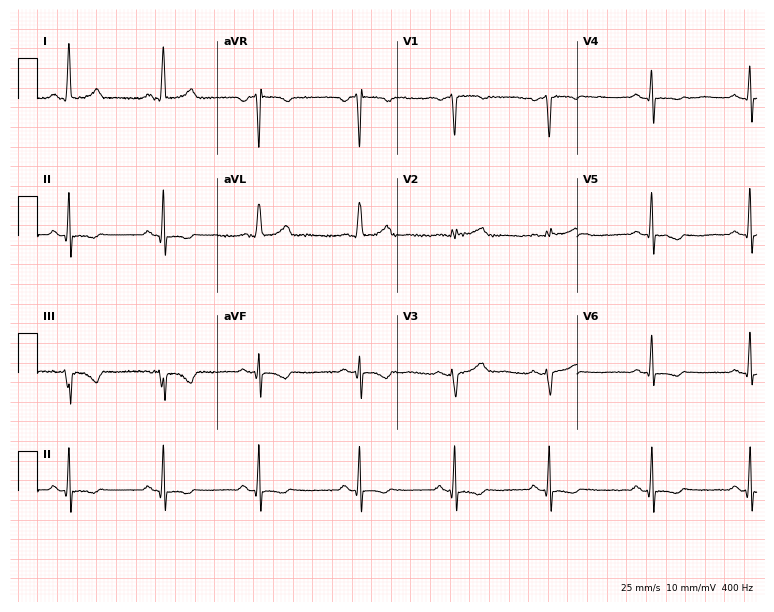
Electrocardiogram (7.3-second recording at 400 Hz), a 76-year-old female. Of the six screened findings (first-degree AV block, right bundle branch block (RBBB), left bundle branch block (LBBB), sinus bradycardia, atrial fibrillation (AF), sinus tachycardia), none is recorded.